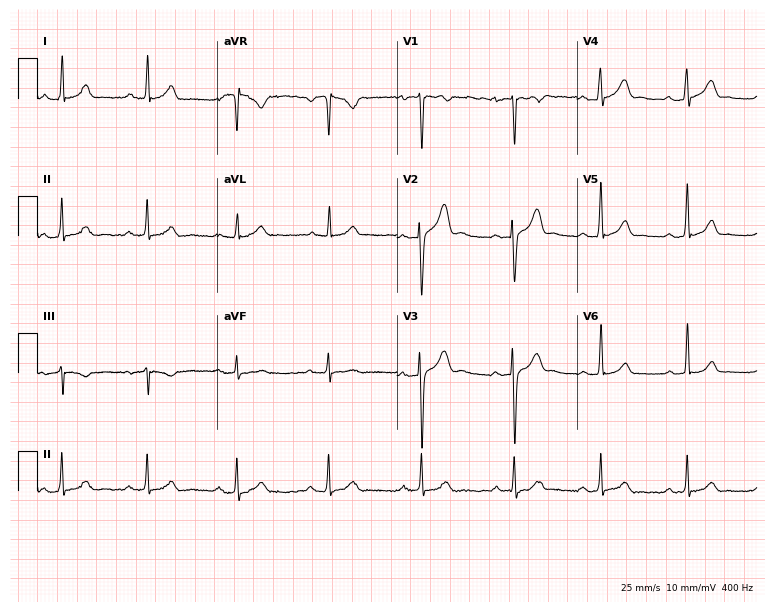
12-lead ECG from a male, 33 years old. Labelled as a normal ECG.